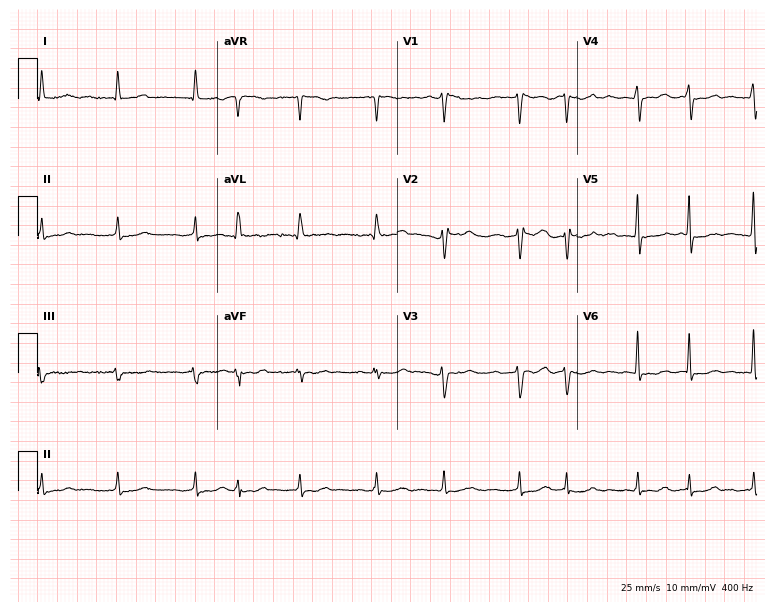
ECG (7.3-second recording at 400 Hz) — a woman, 85 years old. Findings include atrial fibrillation.